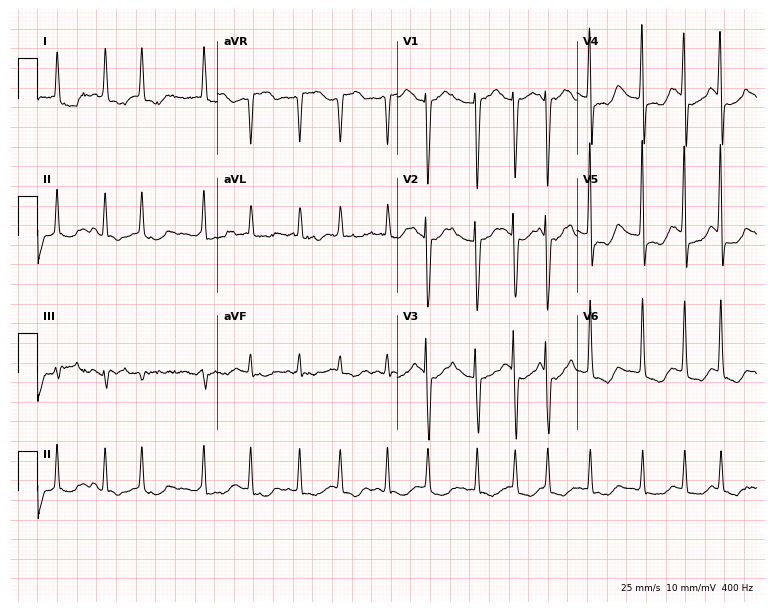
12-lead ECG from an 80-year-old woman. Findings include atrial fibrillation (AF).